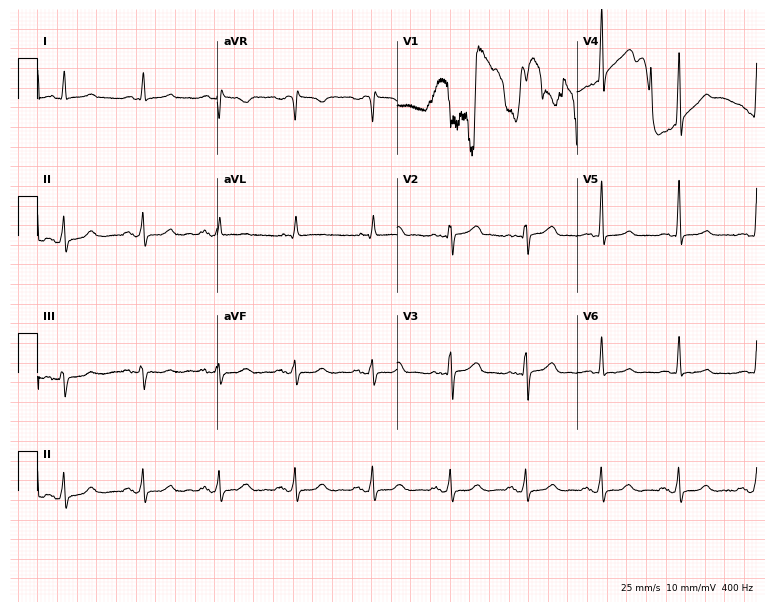
12-lead ECG from a 54-year-old female patient. Screened for six findings — first-degree AV block, right bundle branch block, left bundle branch block, sinus bradycardia, atrial fibrillation, sinus tachycardia — none is recorded.